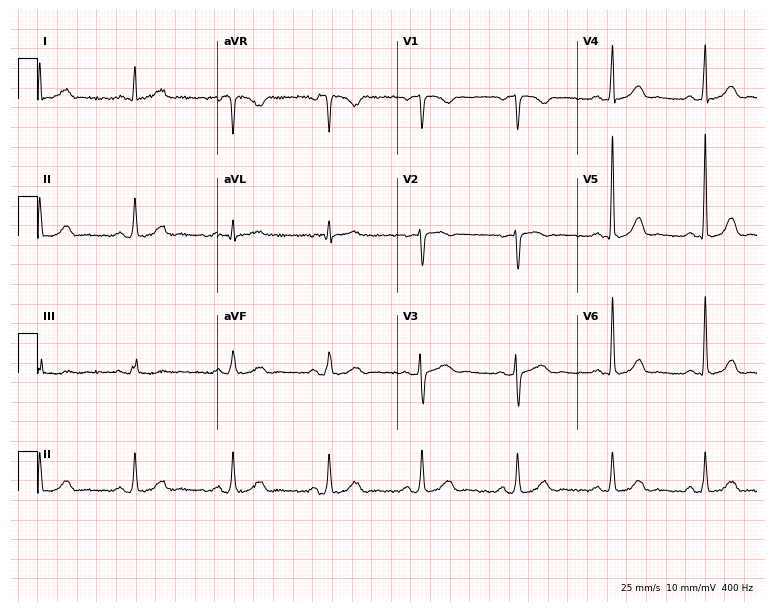
Electrocardiogram (7.3-second recording at 400 Hz), a woman, 61 years old. Overall reading on record: normal ECG.